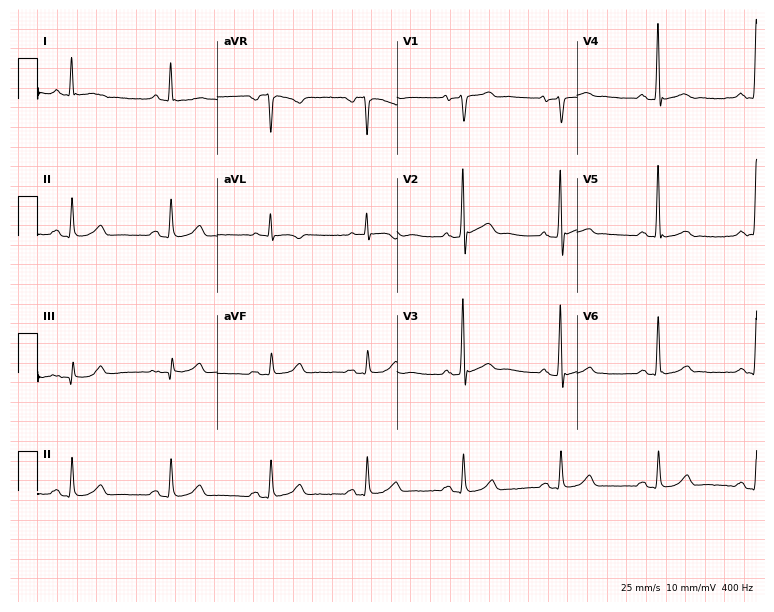
12-lead ECG from a 63-year-old male patient. Screened for six findings — first-degree AV block, right bundle branch block, left bundle branch block, sinus bradycardia, atrial fibrillation, sinus tachycardia — none is recorded.